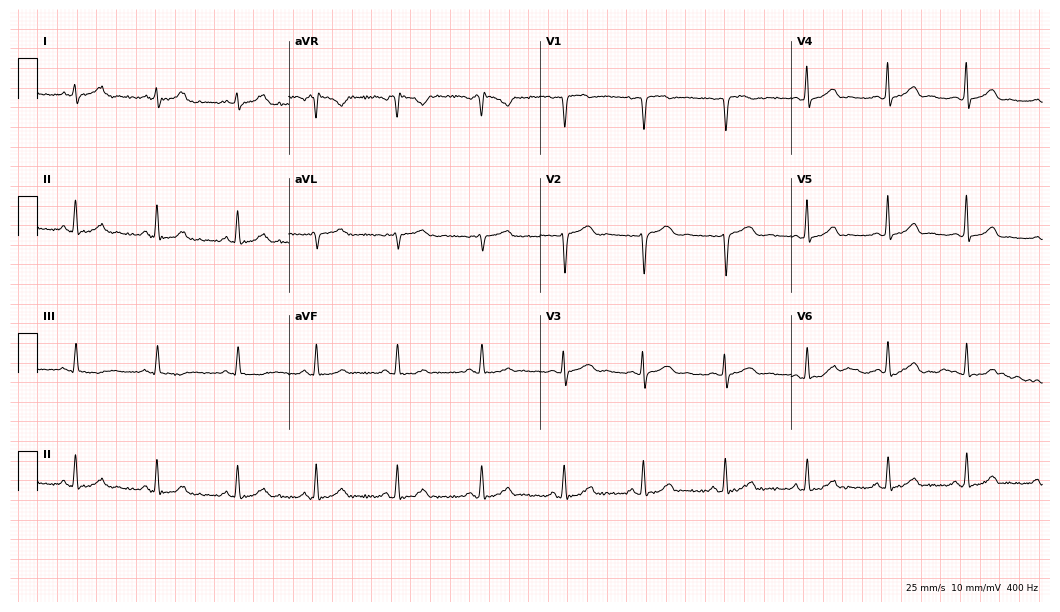
ECG (10.2-second recording at 400 Hz) — a 24-year-old woman. Labelled as a normal ECG.